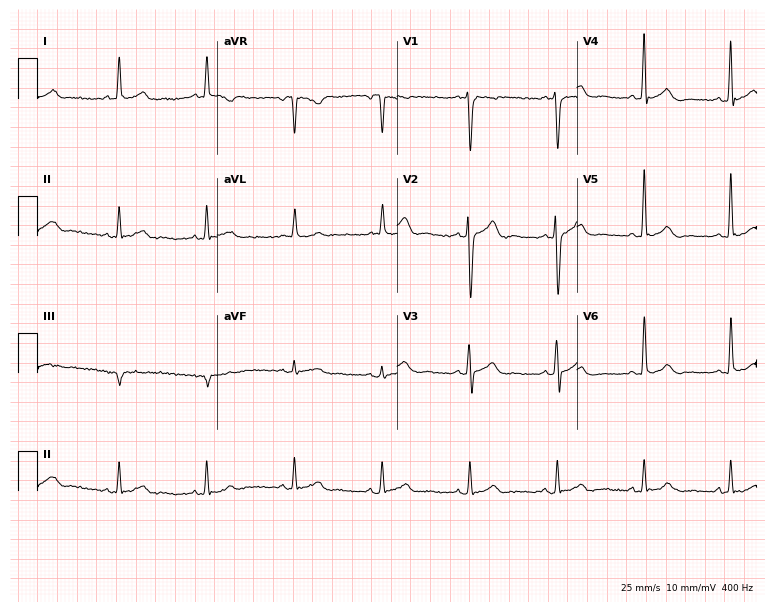
12-lead ECG from a 55-year-old man. Screened for six findings — first-degree AV block, right bundle branch block (RBBB), left bundle branch block (LBBB), sinus bradycardia, atrial fibrillation (AF), sinus tachycardia — none is recorded. Findings outside these six are not listed.